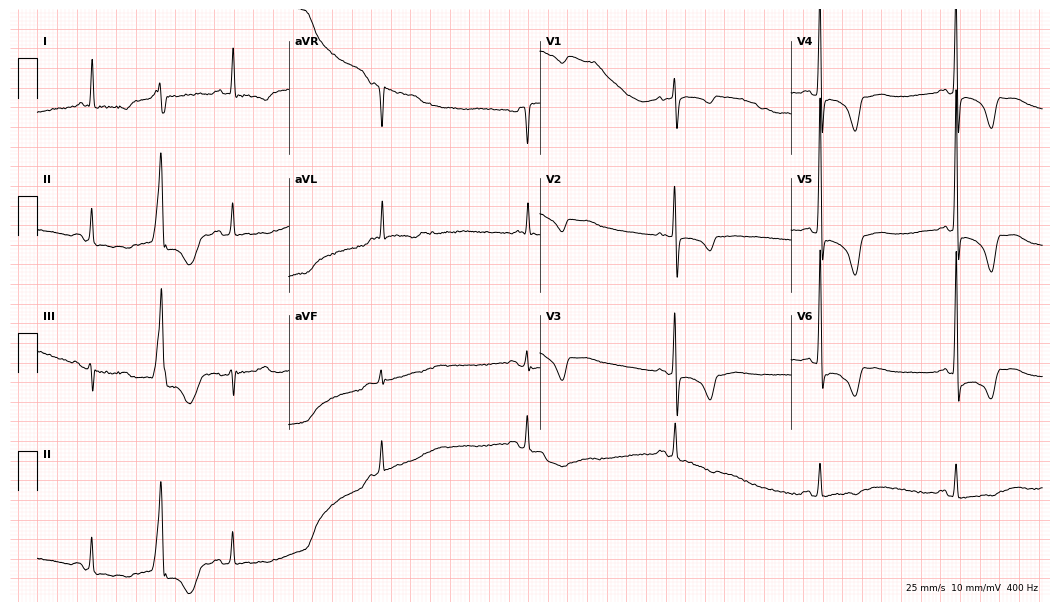
Standard 12-lead ECG recorded from a female, 74 years old. None of these six findings is recorded: first-degree AV block, right bundle branch block (RBBB), left bundle branch block (LBBB), sinus bradycardia, atrial fibrillation (AF), sinus tachycardia. Other findings, if any, are not listed.